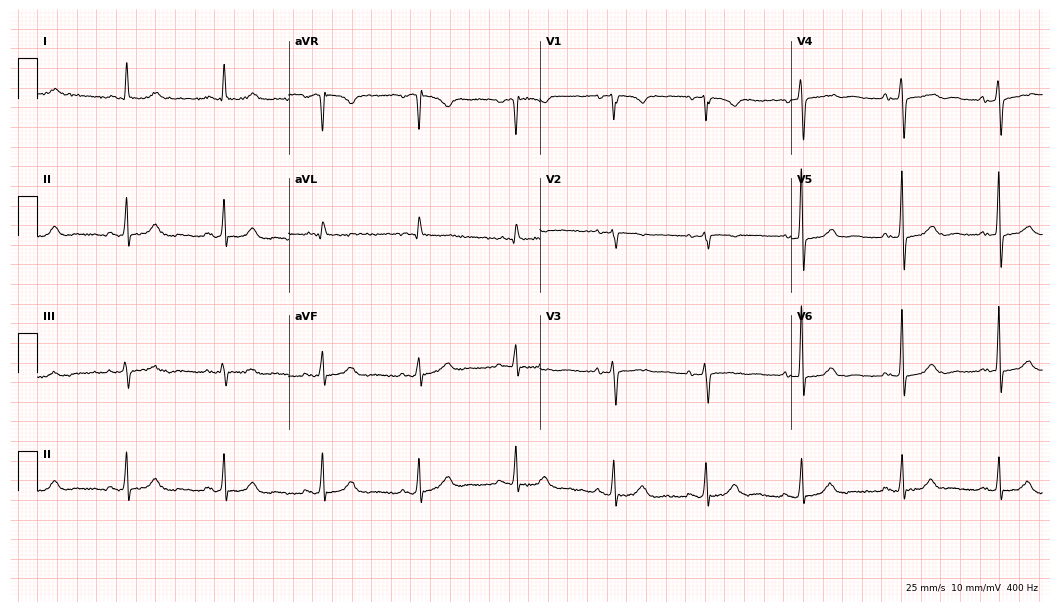
Resting 12-lead electrocardiogram (10.2-second recording at 400 Hz). Patient: a woman, 75 years old. Read as a normal ECG.